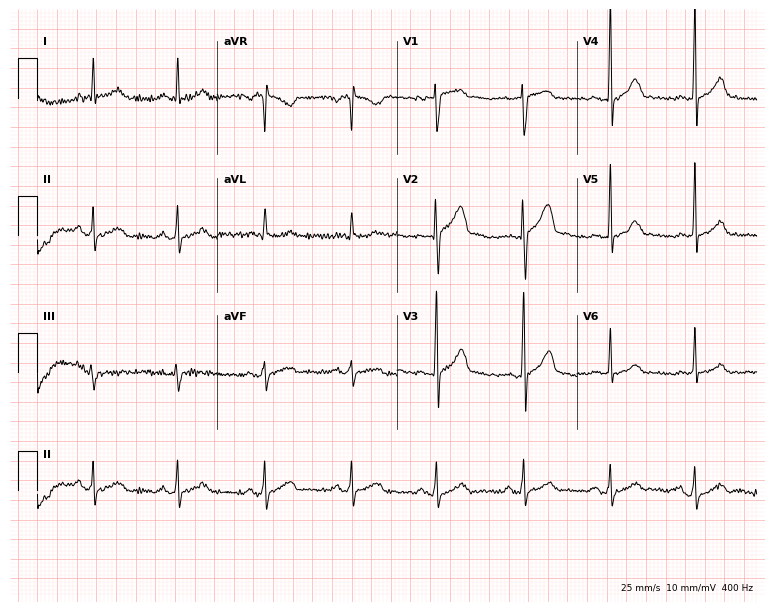
12-lead ECG from a male, 32 years old. Recorded interpretation: within normal limits.